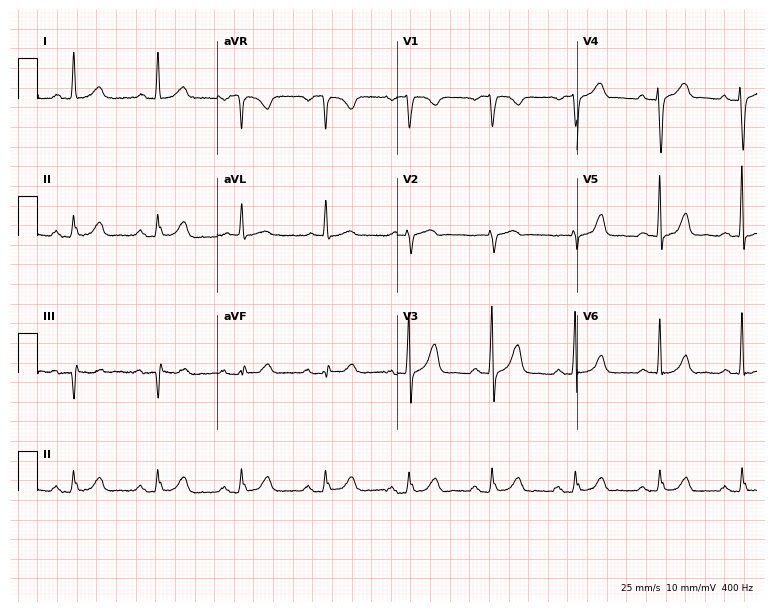
12-lead ECG (7.3-second recording at 400 Hz) from a woman, 69 years old. Screened for six findings — first-degree AV block, right bundle branch block, left bundle branch block, sinus bradycardia, atrial fibrillation, sinus tachycardia — none is recorded.